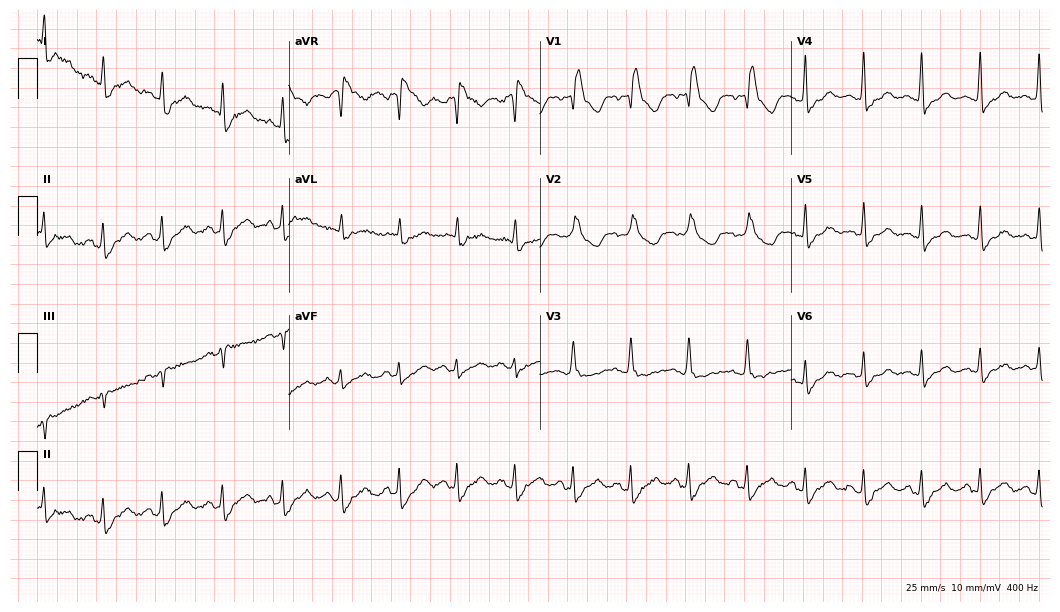
12-lead ECG from a 54-year-old female. Findings include right bundle branch block.